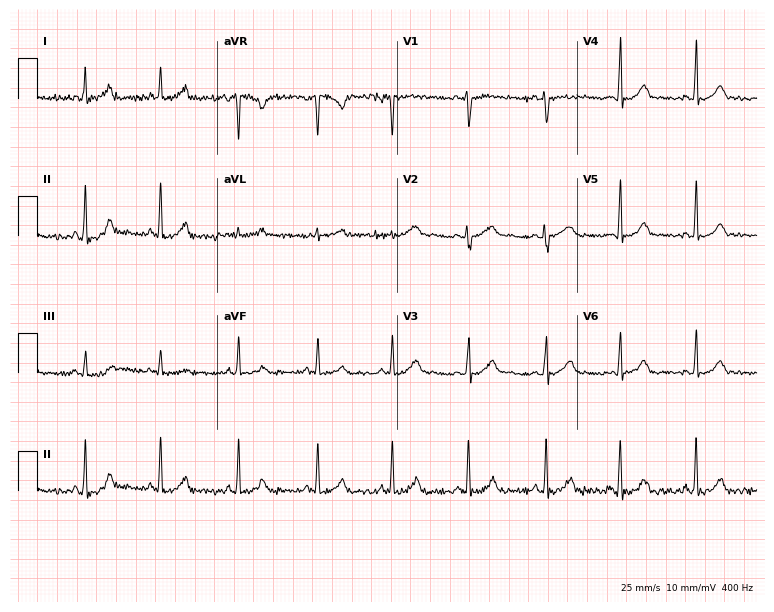
12-lead ECG (7.3-second recording at 400 Hz) from a female, 25 years old. Screened for six findings — first-degree AV block, right bundle branch block (RBBB), left bundle branch block (LBBB), sinus bradycardia, atrial fibrillation (AF), sinus tachycardia — none is recorded. Findings outside these six are not listed.